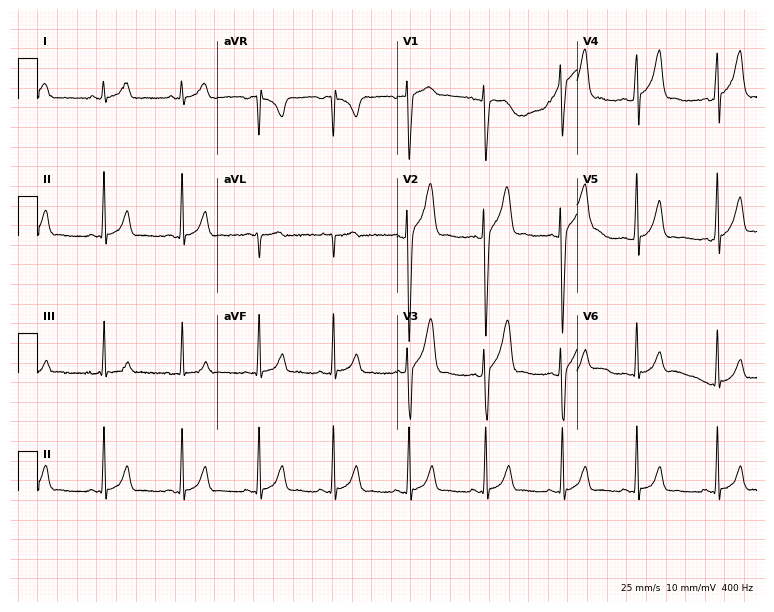
Standard 12-lead ECG recorded from an 18-year-old man. Read as a normal ECG.